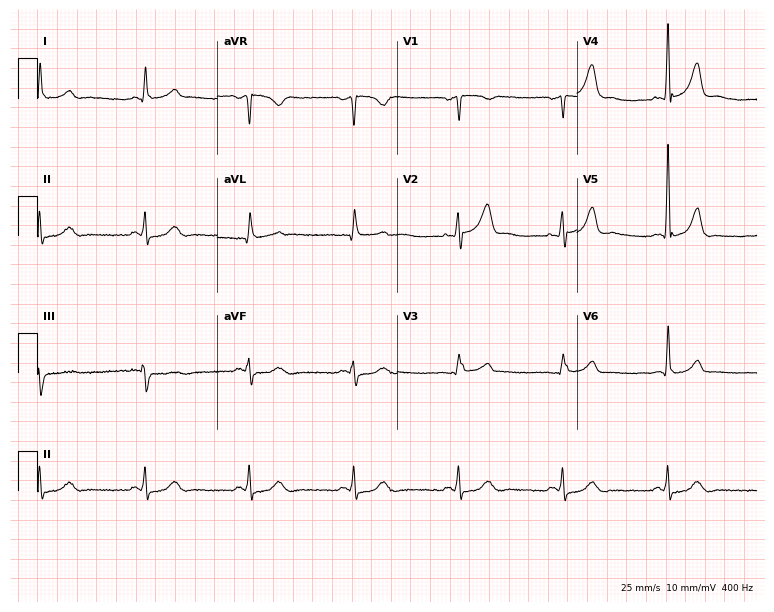
12-lead ECG from a male, 68 years old. Screened for six findings — first-degree AV block, right bundle branch block, left bundle branch block, sinus bradycardia, atrial fibrillation, sinus tachycardia — none is recorded. Findings outside these six are not listed.